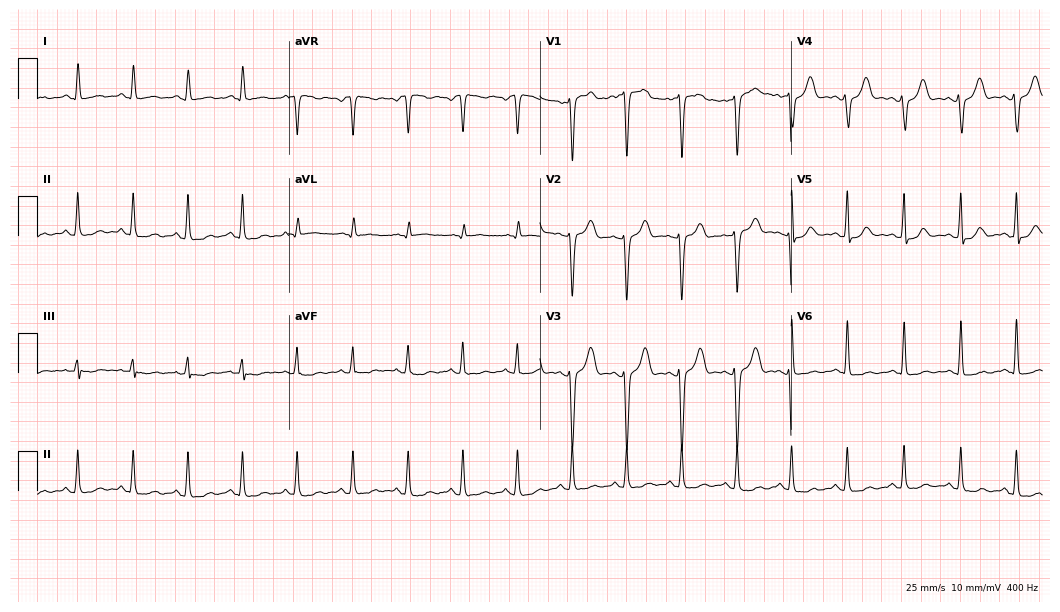
Standard 12-lead ECG recorded from a 44-year-old woman. The tracing shows sinus tachycardia (a sinus rate of 100 beats per minute or more).